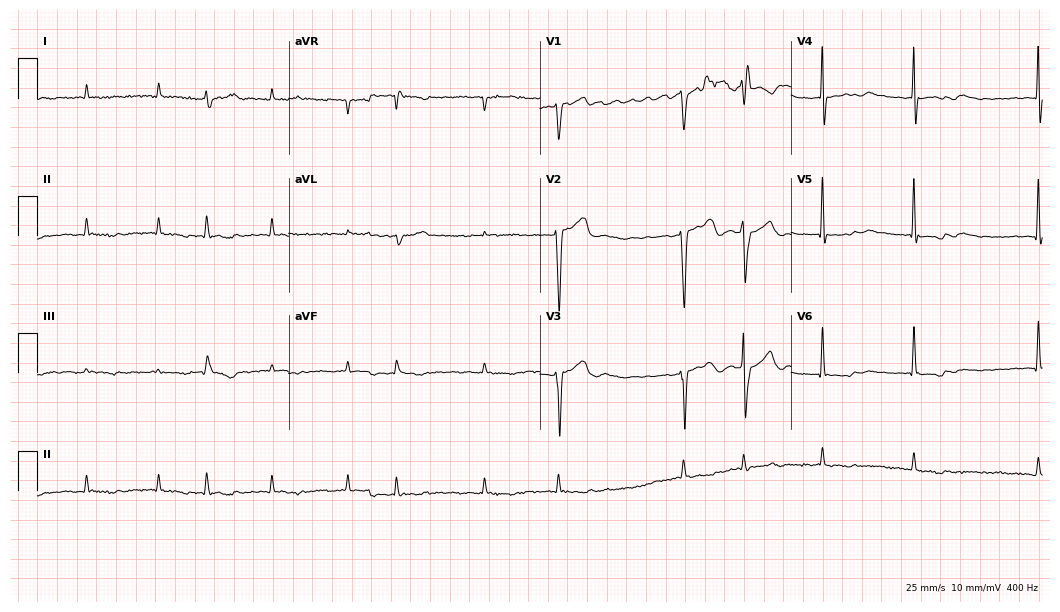
Standard 12-lead ECG recorded from a 73-year-old man. None of these six findings is recorded: first-degree AV block, right bundle branch block, left bundle branch block, sinus bradycardia, atrial fibrillation, sinus tachycardia.